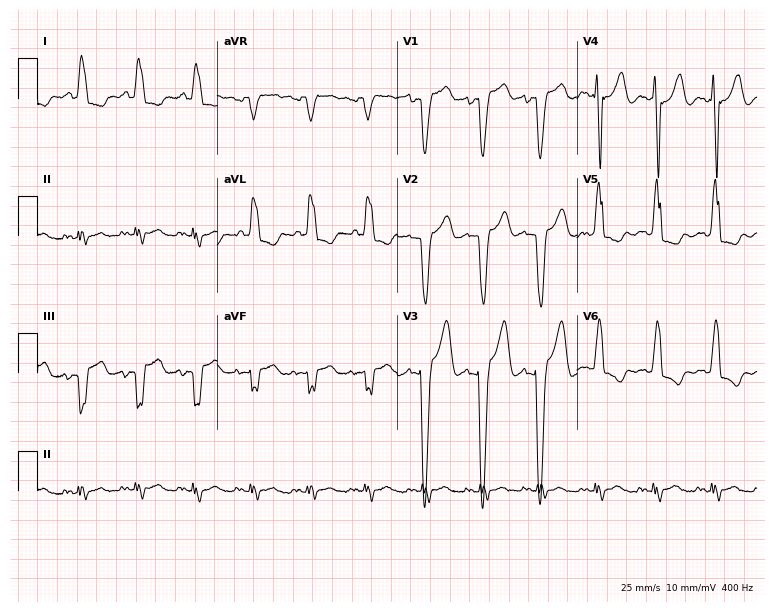
Electrocardiogram, a 38-year-old woman. Interpretation includes left bundle branch block (LBBB), sinus tachycardia (a sinus rate of 100 beats per minute or more).